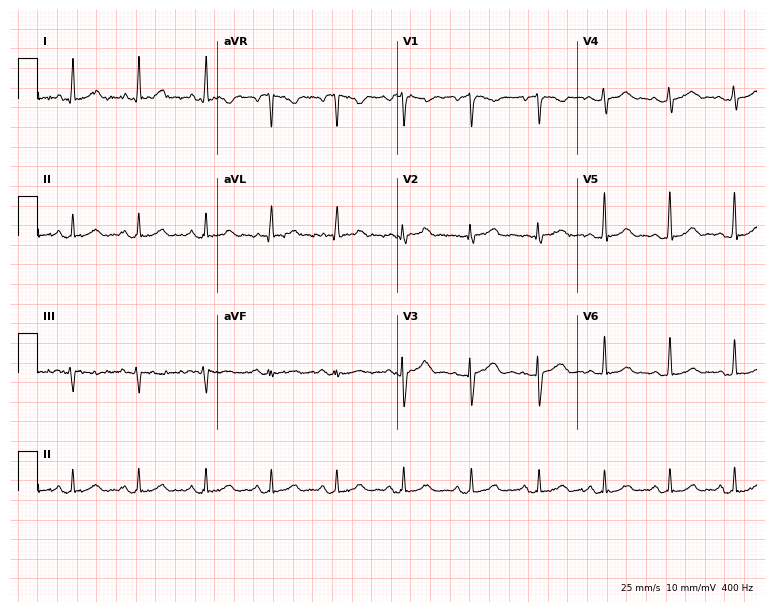
12-lead ECG from a 47-year-old woman. Labelled as a normal ECG.